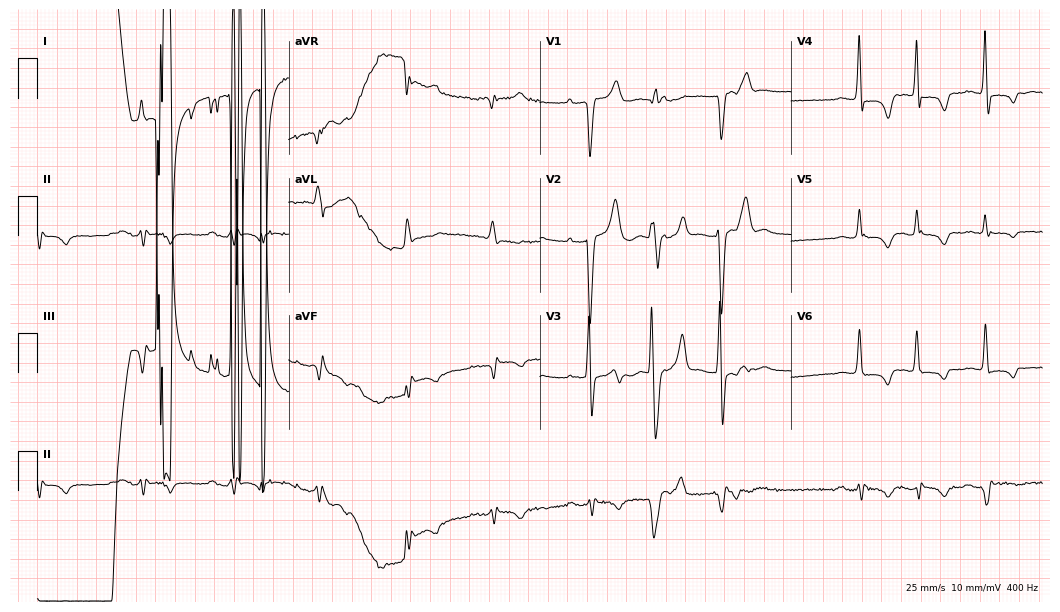
12-lead ECG from an 83-year-old male patient (10.2-second recording at 400 Hz). No first-degree AV block, right bundle branch block, left bundle branch block, sinus bradycardia, atrial fibrillation or sinus tachycardia recorded for this tracing. Other findings, if any, are not listed.